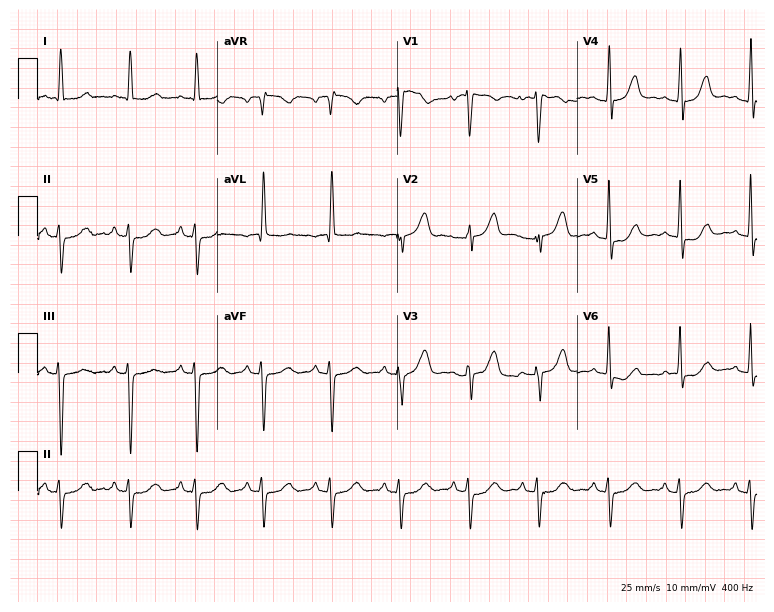
ECG (7.3-second recording at 400 Hz) — a female patient, 78 years old. Screened for six findings — first-degree AV block, right bundle branch block, left bundle branch block, sinus bradycardia, atrial fibrillation, sinus tachycardia — none is recorded.